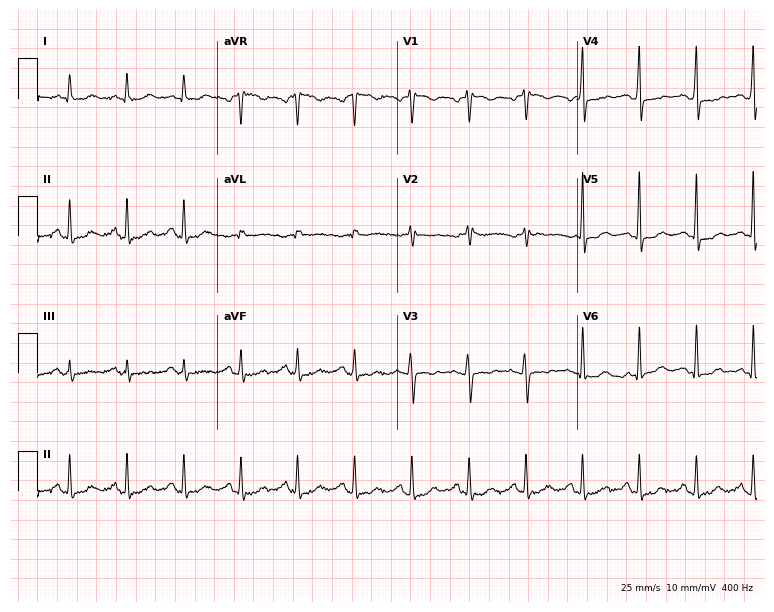
ECG (7.3-second recording at 400 Hz) — a female patient, 40 years old. Findings include sinus tachycardia (a sinus rate of 100 beats per minute or more).